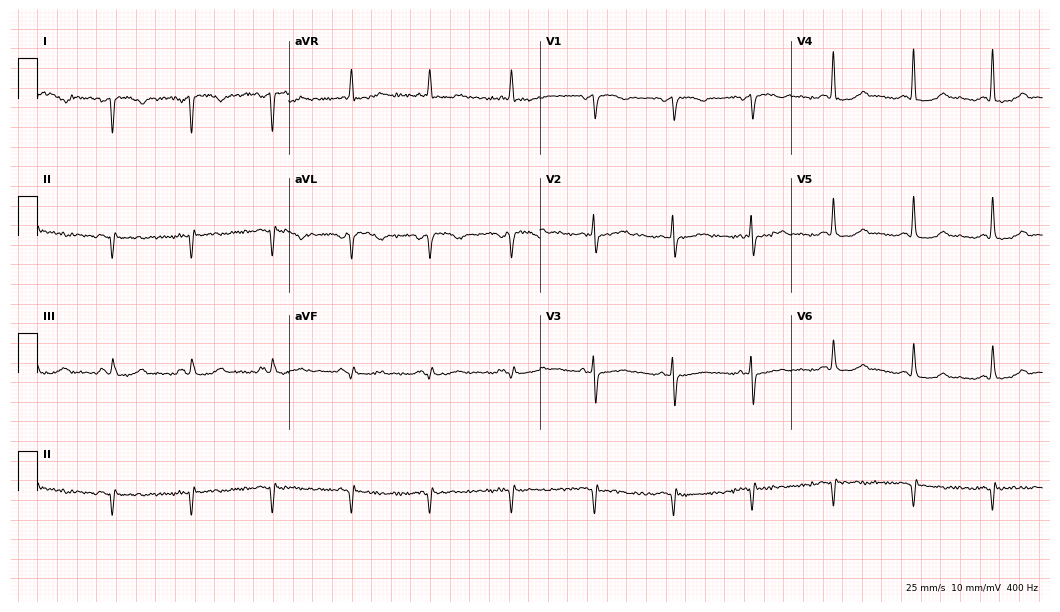
Standard 12-lead ECG recorded from a 66-year-old female patient. None of these six findings is recorded: first-degree AV block, right bundle branch block (RBBB), left bundle branch block (LBBB), sinus bradycardia, atrial fibrillation (AF), sinus tachycardia. Other findings, if any, are not listed.